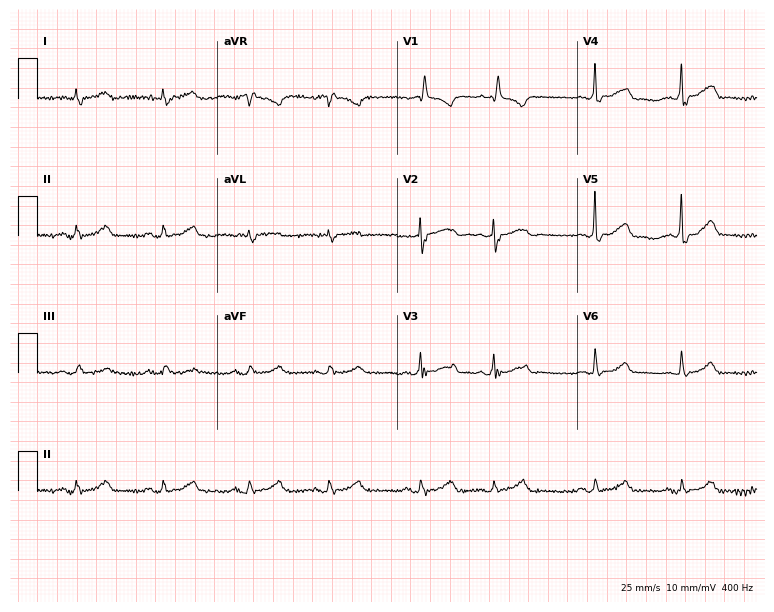
Resting 12-lead electrocardiogram (7.3-second recording at 400 Hz). Patient: a 70-year-old male. None of these six findings is recorded: first-degree AV block, right bundle branch block, left bundle branch block, sinus bradycardia, atrial fibrillation, sinus tachycardia. Findings outside these six are not listed.